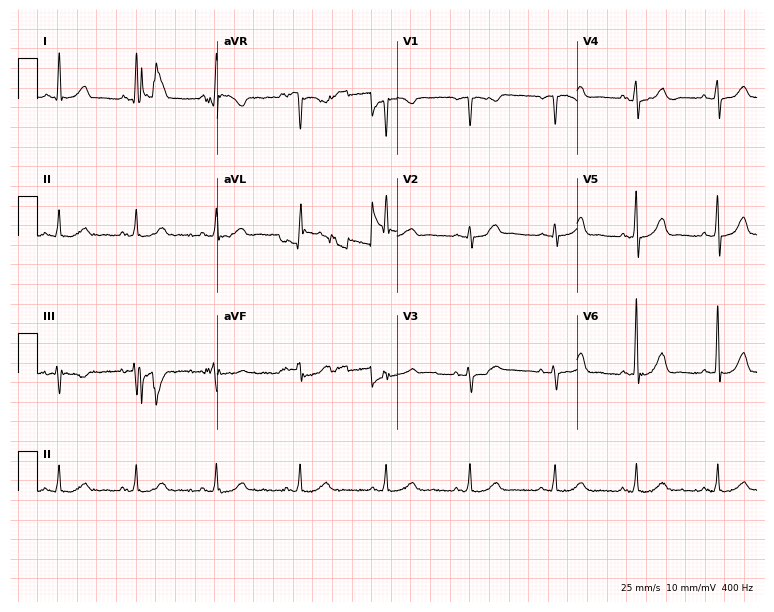
Resting 12-lead electrocardiogram (7.3-second recording at 400 Hz). Patient: a 61-year-old woman. Read as a normal ECG.